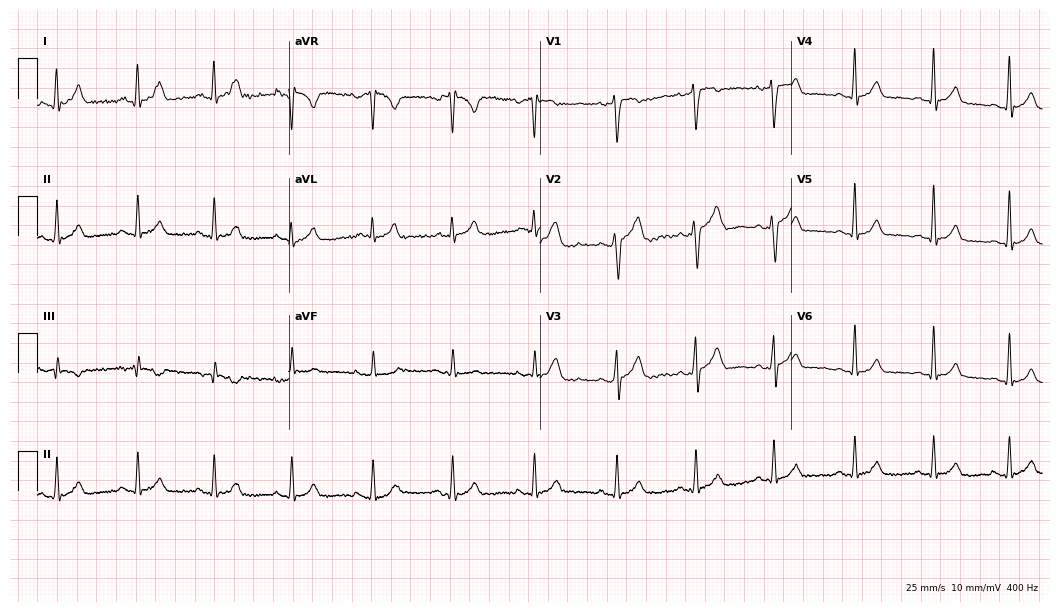
12-lead ECG from a 22-year-old male (10.2-second recording at 400 Hz). Recorded interpretation: within normal limits.